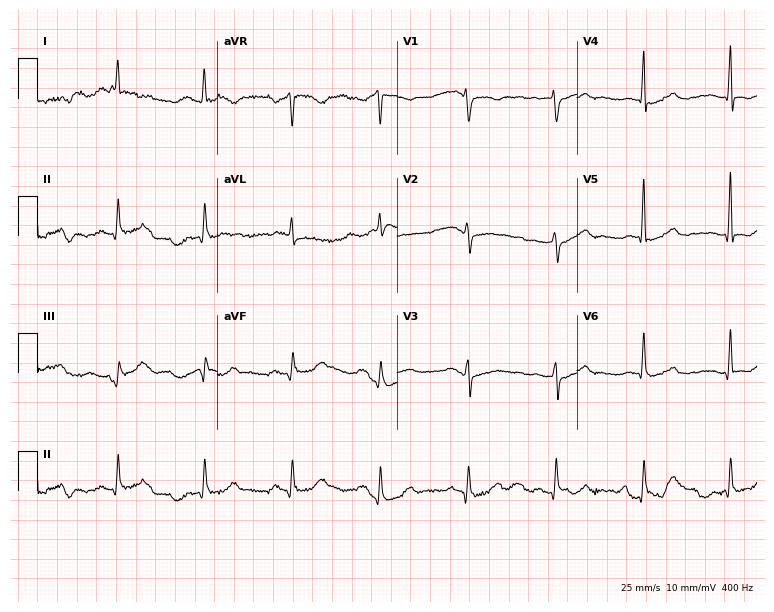
Electrocardiogram, a female, 83 years old. Of the six screened findings (first-degree AV block, right bundle branch block, left bundle branch block, sinus bradycardia, atrial fibrillation, sinus tachycardia), none is recorded. Other findings, if any, are not listed.